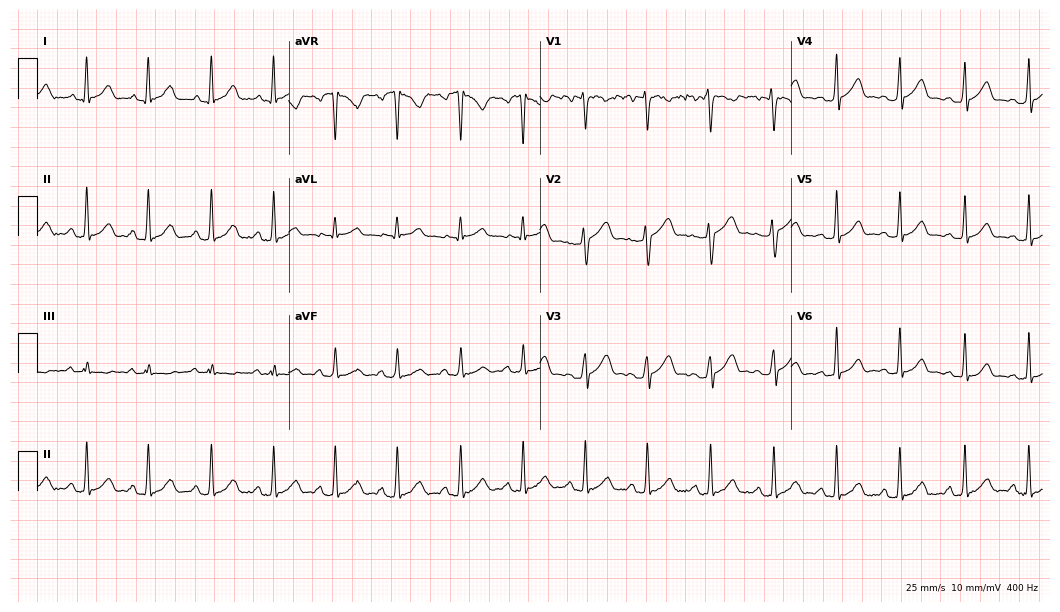
Electrocardiogram, a 27-year-old female. Overall reading on record: normal ECG.